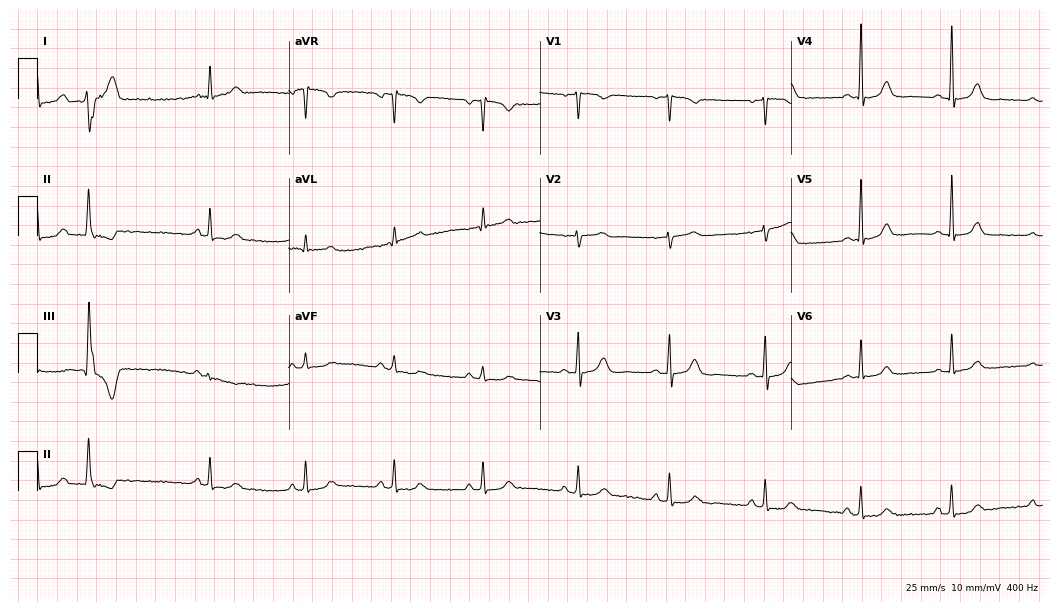
ECG (10.2-second recording at 400 Hz) — a 41-year-old woman. Labelled as a normal ECG.